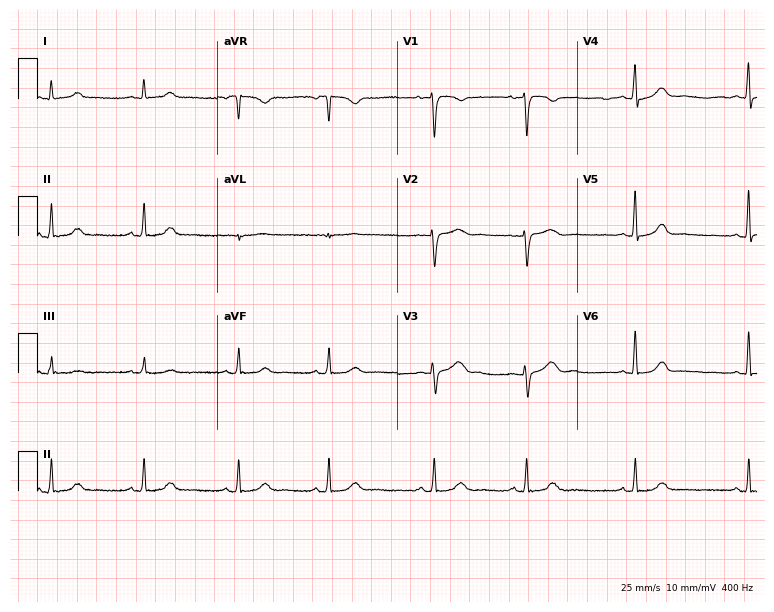
Resting 12-lead electrocardiogram. Patient: a 42-year-old female. Read as a normal ECG.